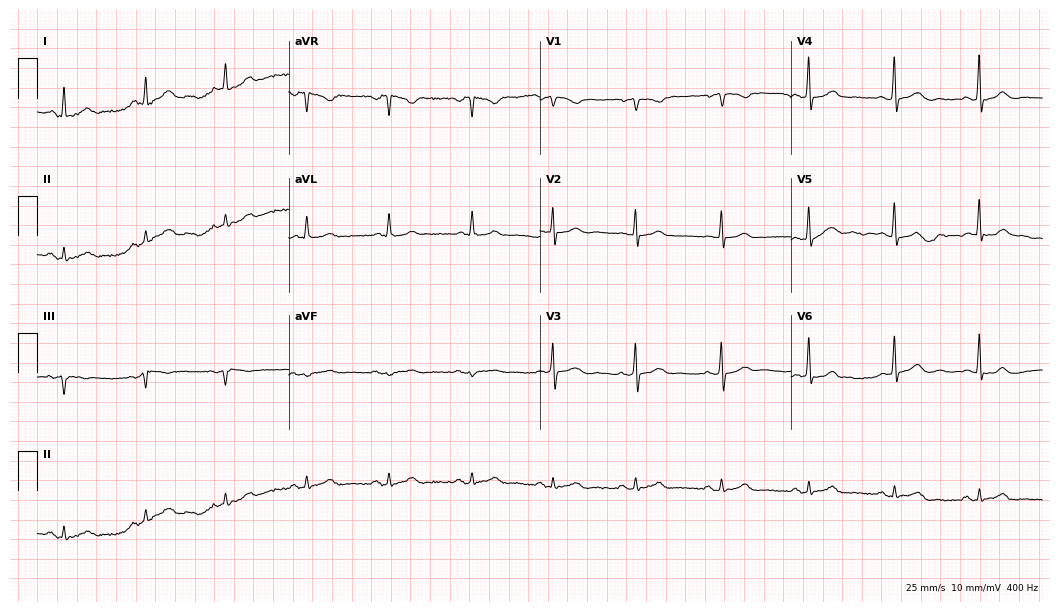
ECG — a female patient, 43 years old. Labelled as a normal ECG.